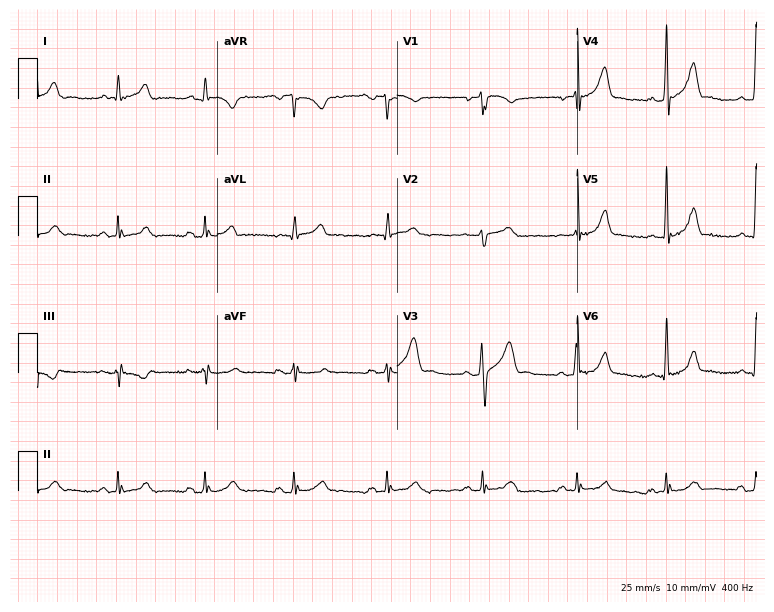
ECG — a male patient, 34 years old. Labelled as a normal ECG.